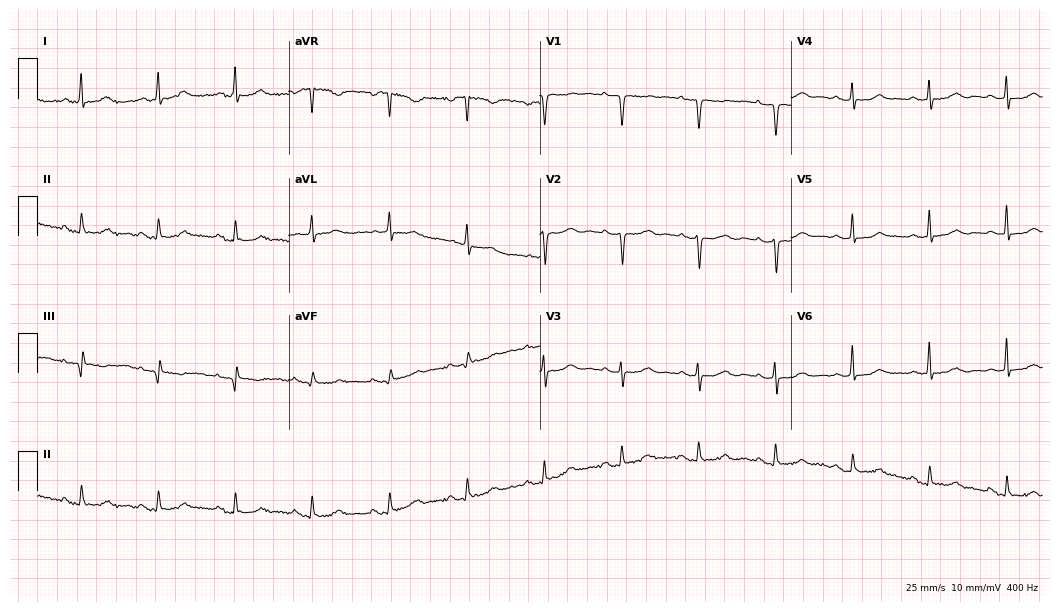
Electrocardiogram (10.2-second recording at 400 Hz), a 58-year-old male patient. Of the six screened findings (first-degree AV block, right bundle branch block, left bundle branch block, sinus bradycardia, atrial fibrillation, sinus tachycardia), none is recorded.